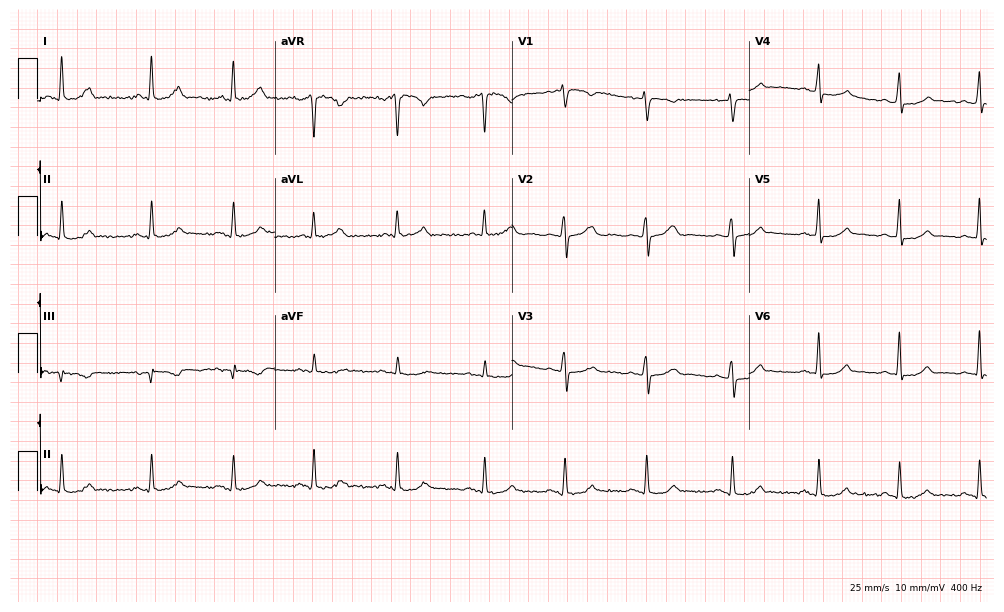
Resting 12-lead electrocardiogram. Patient: a 59-year-old female. Read as a normal ECG.